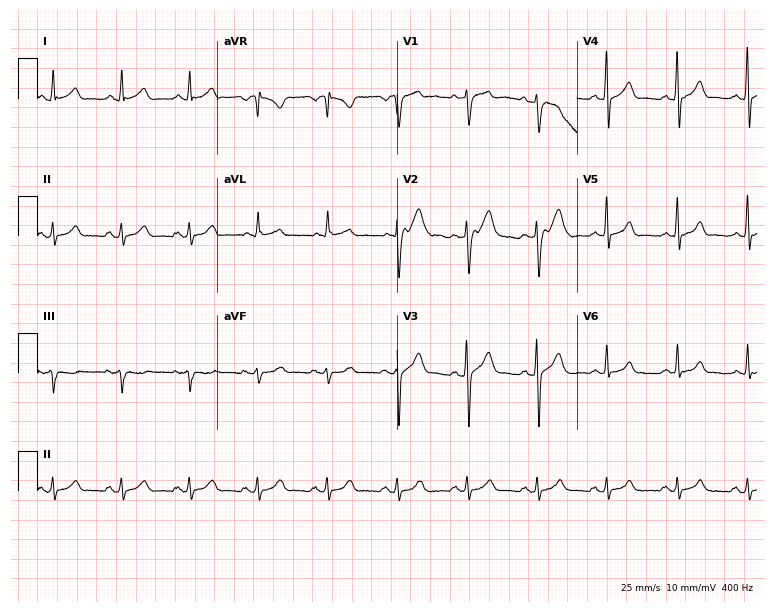
Resting 12-lead electrocardiogram. Patient: a male, 35 years old. Read as a normal ECG.